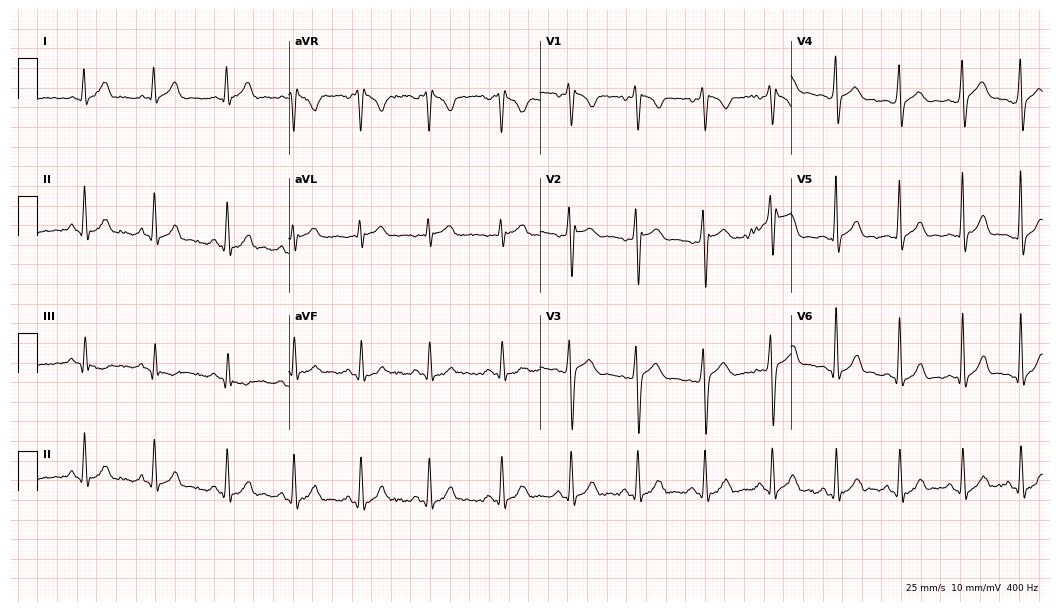
Resting 12-lead electrocardiogram. Patient: a 24-year-old male. Read as a normal ECG.